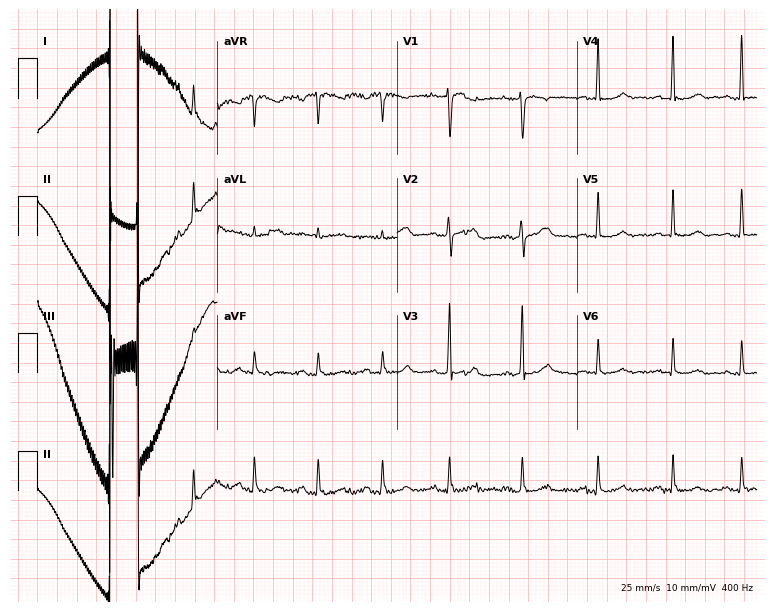
Electrocardiogram, a 41-year-old female patient. Of the six screened findings (first-degree AV block, right bundle branch block, left bundle branch block, sinus bradycardia, atrial fibrillation, sinus tachycardia), none is recorded. Only these six findings were labelled.